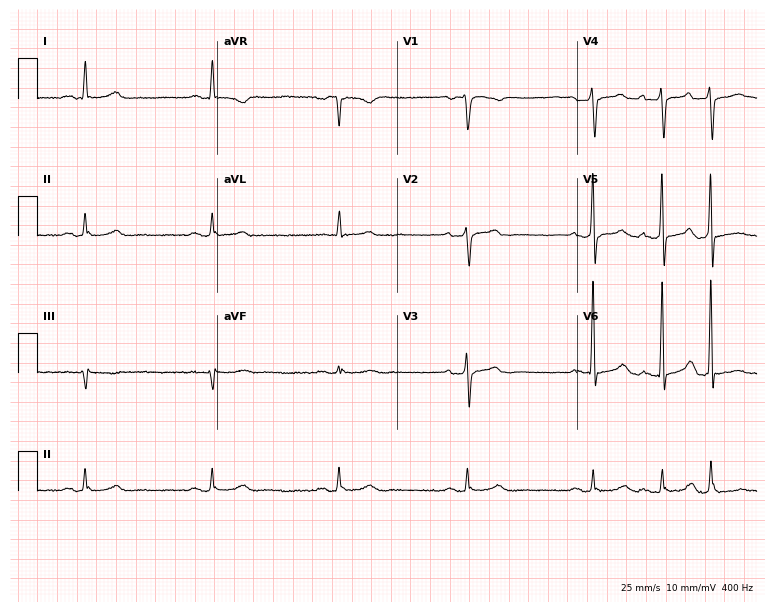
Resting 12-lead electrocardiogram. Patient: a man, 67 years old. None of these six findings is recorded: first-degree AV block, right bundle branch block, left bundle branch block, sinus bradycardia, atrial fibrillation, sinus tachycardia.